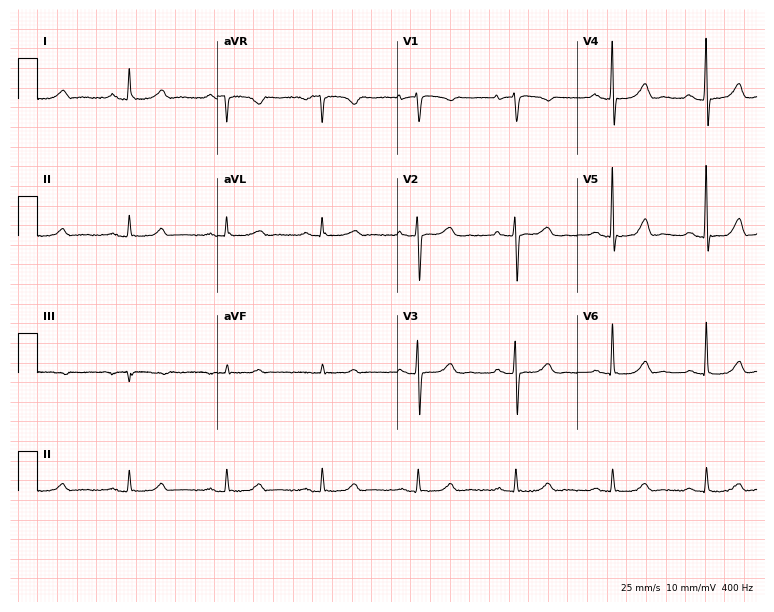
Electrocardiogram, a woman, 65 years old. Overall reading on record: normal ECG.